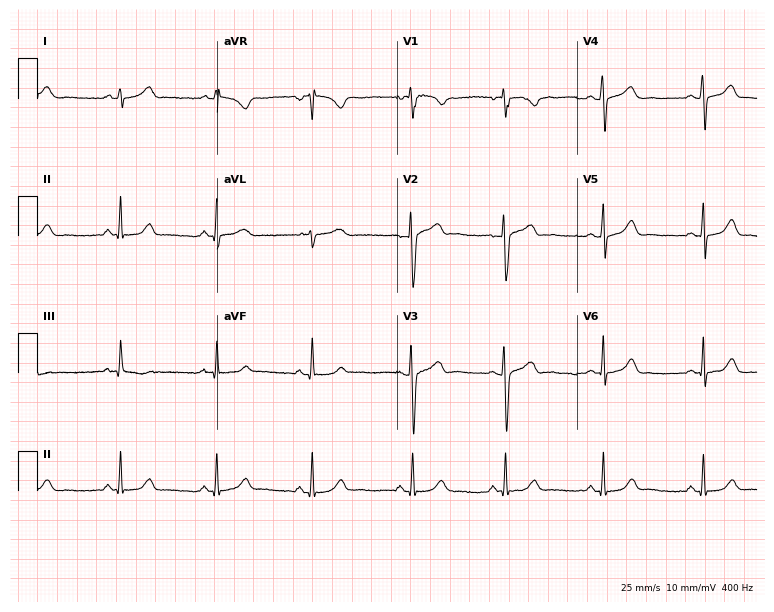
Standard 12-lead ECG recorded from a 19-year-old female patient (7.3-second recording at 400 Hz). Read as a normal ECG.